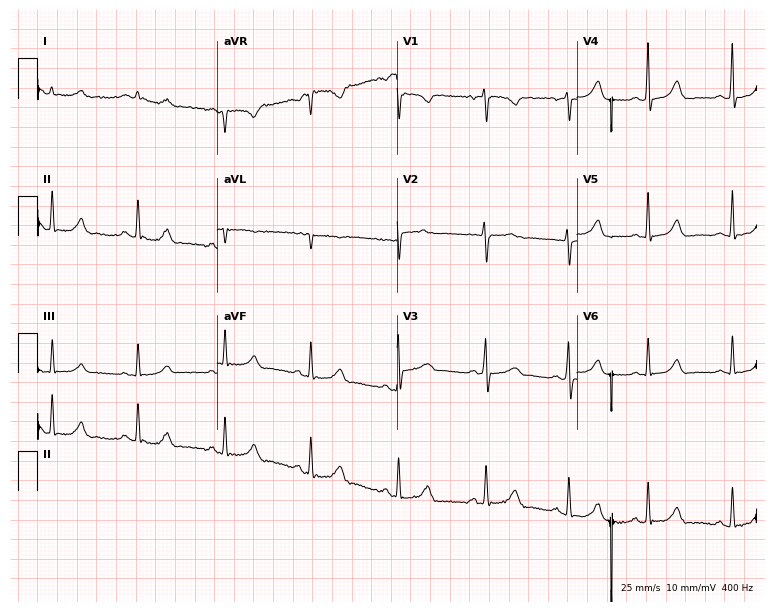
Standard 12-lead ECG recorded from a woman, 35 years old (7.3-second recording at 400 Hz). None of these six findings is recorded: first-degree AV block, right bundle branch block, left bundle branch block, sinus bradycardia, atrial fibrillation, sinus tachycardia. Only these six findings were labelled.